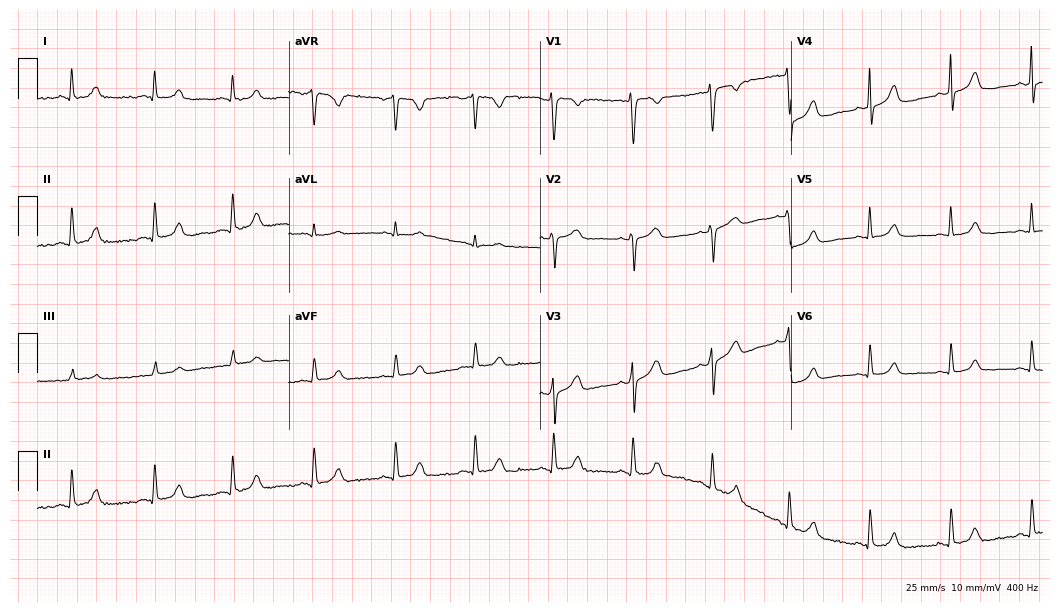
ECG (10.2-second recording at 400 Hz) — a woman, 44 years old. Labelled as a normal ECG.